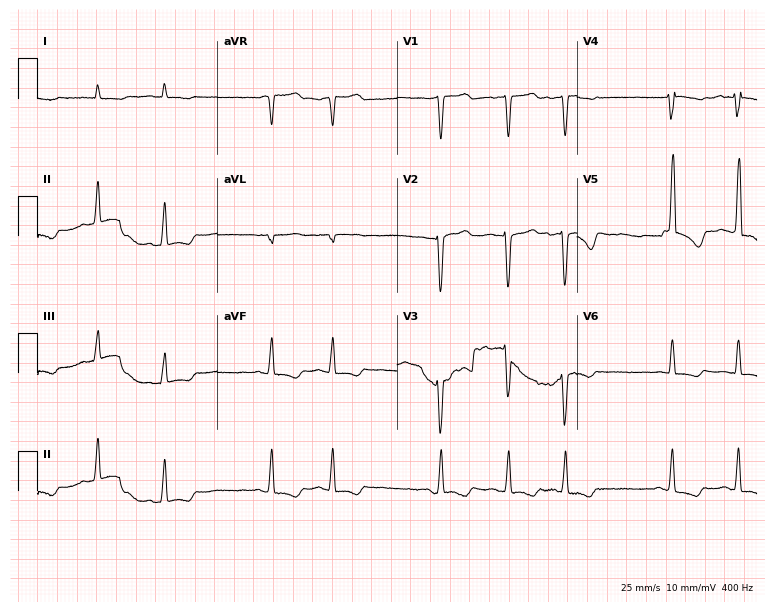
Resting 12-lead electrocardiogram. Patient: a 76-year-old woman. None of these six findings is recorded: first-degree AV block, right bundle branch block, left bundle branch block, sinus bradycardia, atrial fibrillation, sinus tachycardia. Other findings, if any, are not listed.